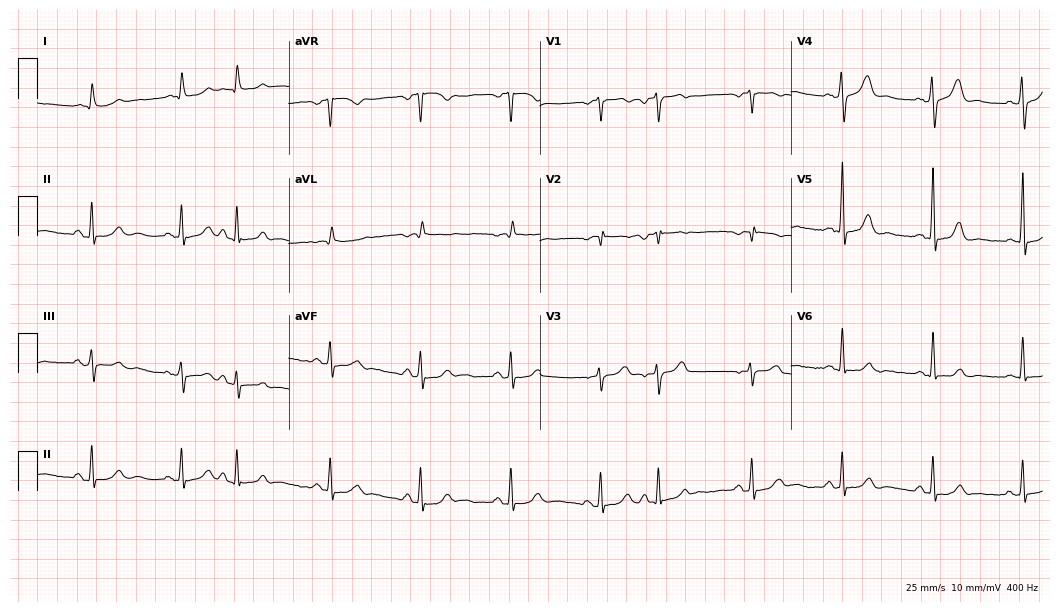
12-lead ECG (10.2-second recording at 400 Hz) from a 75-year-old man. Screened for six findings — first-degree AV block, right bundle branch block (RBBB), left bundle branch block (LBBB), sinus bradycardia, atrial fibrillation (AF), sinus tachycardia — none is recorded. Only these six findings were labelled.